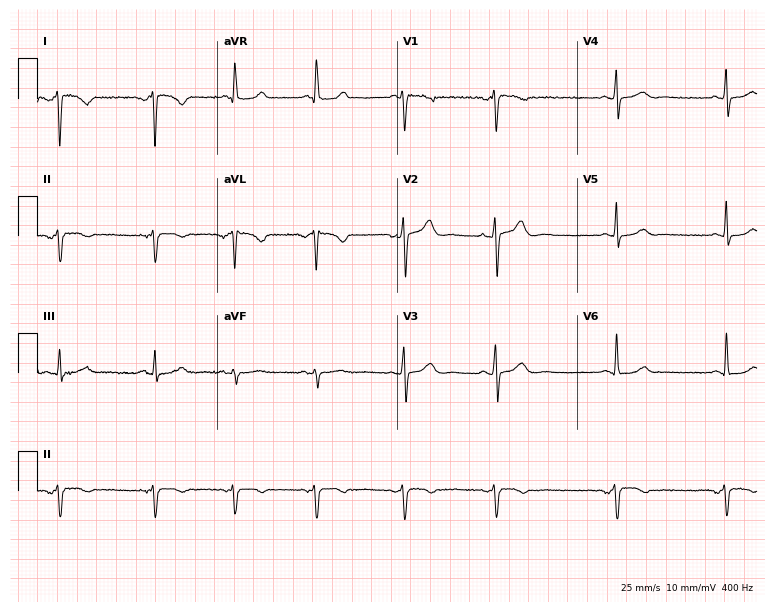
ECG (7.3-second recording at 400 Hz) — a woman, 42 years old. Screened for six findings — first-degree AV block, right bundle branch block, left bundle branch block, sinus bradycardia, atrial fibrillation, sinus tachycardia — none is recorded. Findings outside these six are not listed.